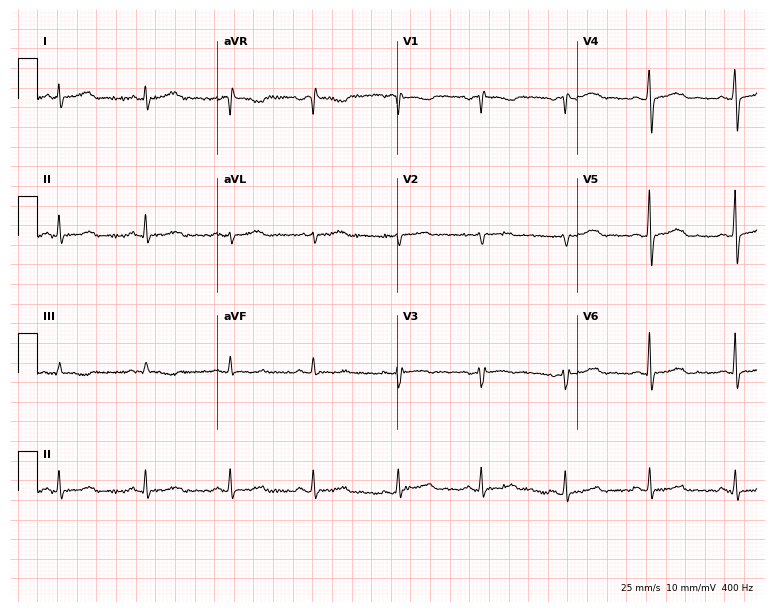
Standard 12-lead ECG recorded from a female, 48 years old. None of these six findings is recorded: first-degree AV block, right bundle branch block (RBBB), left bundle branch block (LBBB), sinus bradycardia, atrial fibrillation (AF), sinus tachycardia.